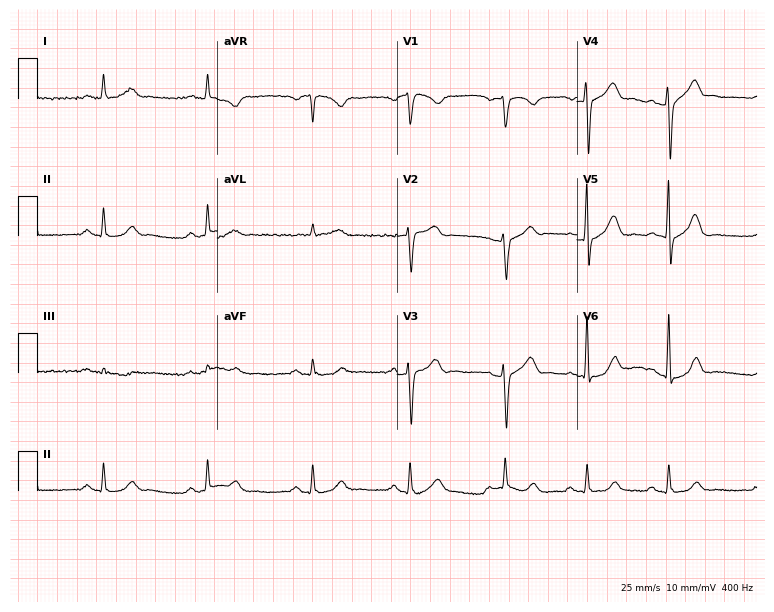
12-lead ECG from a male patient, 69 years old. Labelled as a normal ECG.